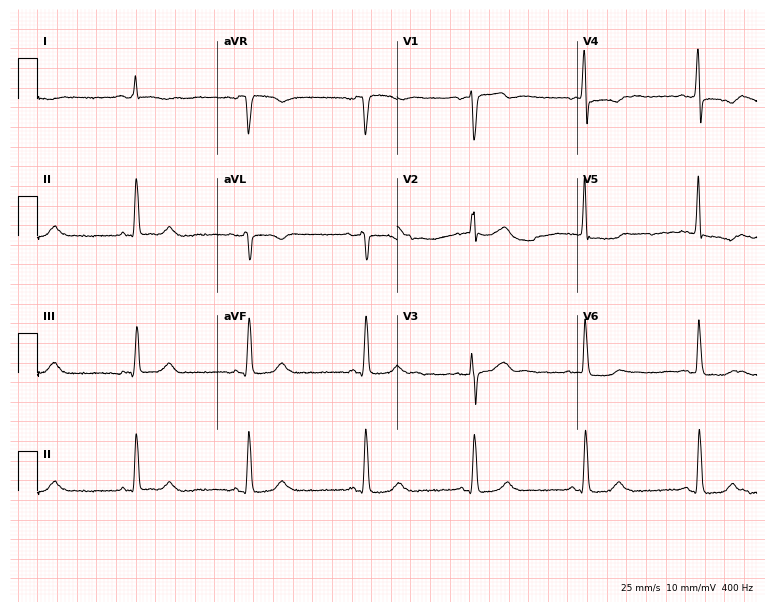
ECG (7.3-second recording at 400 Hz) — a 74-year-old male patient. Screened for six findings — first-degree AV block, right bundle branch block (RBBB), left bundle branch block (LBBB), sinus bradycardia, atrial fibrillation (AF), sinus tachycardia — none is recorded.